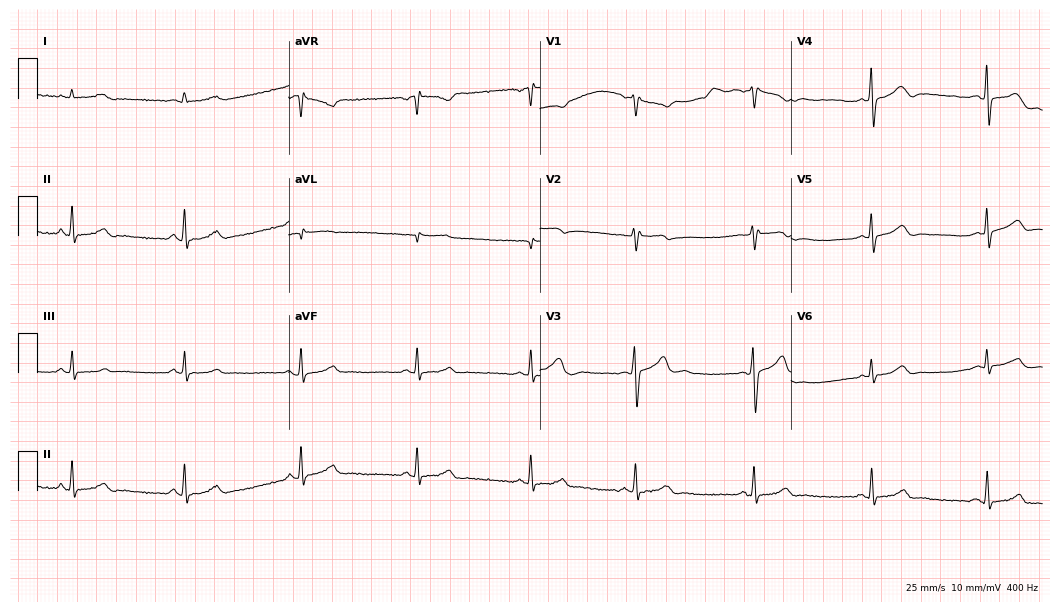
Resting 12-lead electrocardiogram. Patient: a male, 31 years old. Read as a normal ECG.